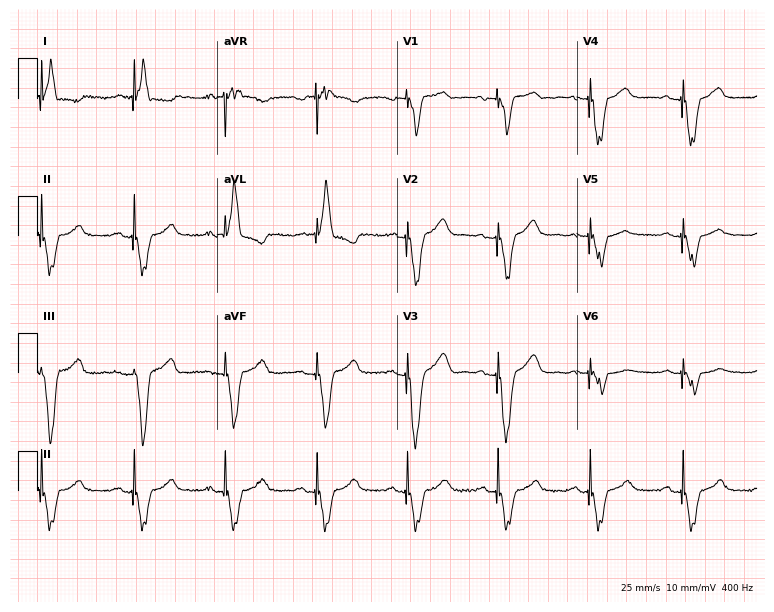
Electrocardiogram (7.3-second recording at 400 Hz), a female, 81 years old. Of the six screened findings (first-degree AV block, right bundle branch block (RBBB), left bundle branch block (LBBB), sinus bradycardia, atrial fibrillation (AF), sinus tachycardia), none is recorded. Findings outside these six are not listed.